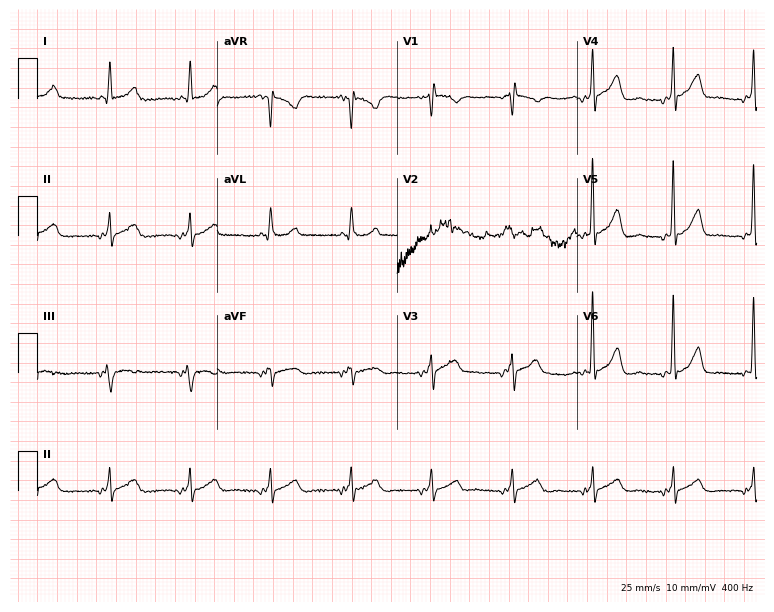
12-lead ECG from a 75-year-old woman (7.3-second recording at 400 Hz). Recorded interpretation: within normal limits.